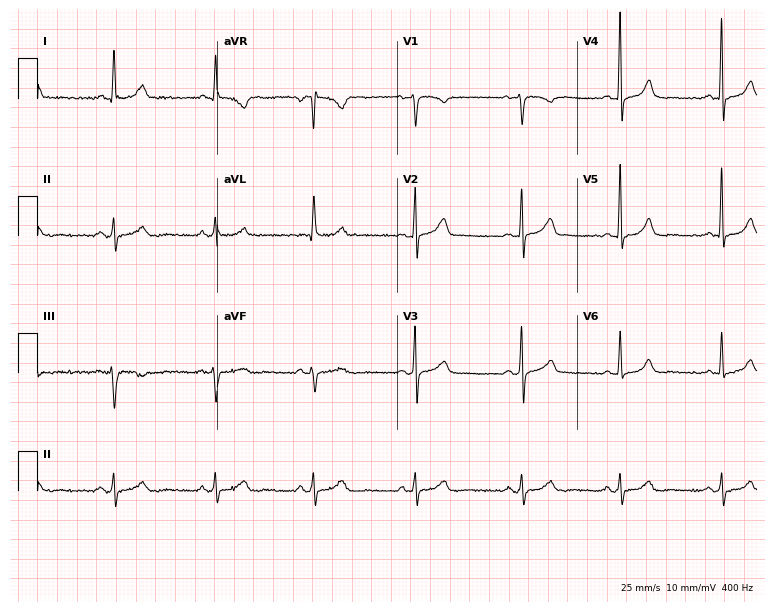
ECG (7.3-second recording at 400 Hz) — a 55-year-old woman. Screened for six findings — first-degree AV block, right bundle branch block (RBBB), left bundle branch block (LBBB), sinus bradycardia, atrial fibrillation (AF), sinus tachycardia — none is recorded.